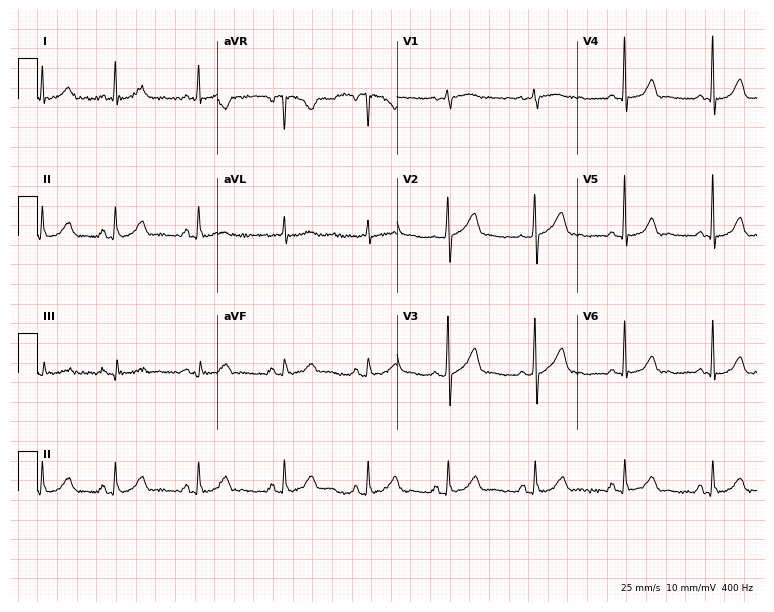
Standard 12-lead ECG recorded from a female, 57 years old (7.3-second recording at 400 Hz). None of these six findings is recorded: first-degree AV block, right bundle branch block (RBBB), left bundle branch block (LBBB), sinus bradycardia, atrial fibrillation (AF), sinus tachycardia. Findings outside these six are not listed.